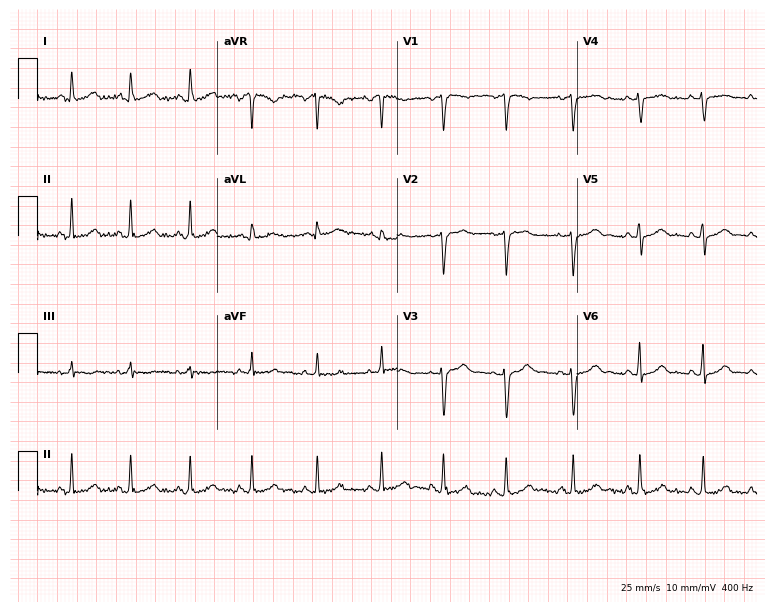
Resting 12-lead electrocardiogram. Patient: a woman, 33 years old. Read as a normal ECG.